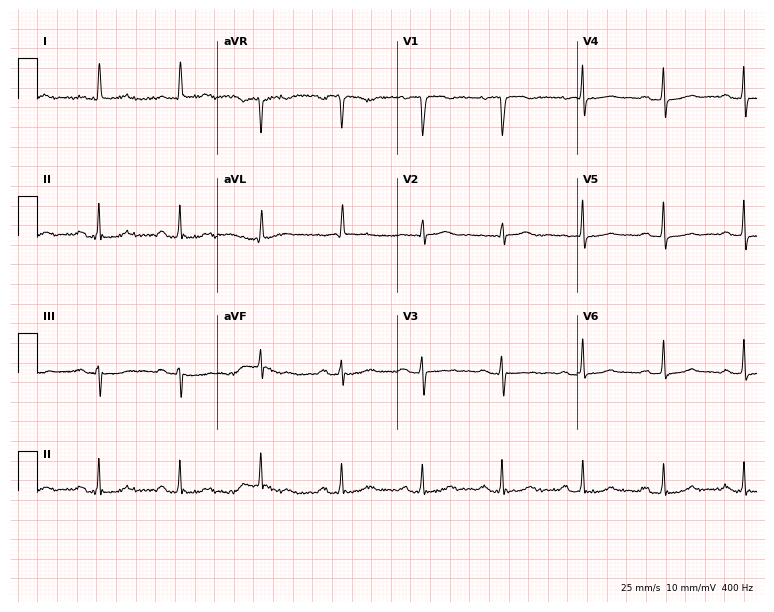
Standard 12-lead ECG recorded from a 62-year-old female patient (7.3-second recording at 400 Hz). None of these six findings is recorded: first-degree AV block, right bundle branch block (RBBB), left bundle branch block (LBBB), sinus bradycardia, atrial fibrillation (AF), sinus tachycardia.